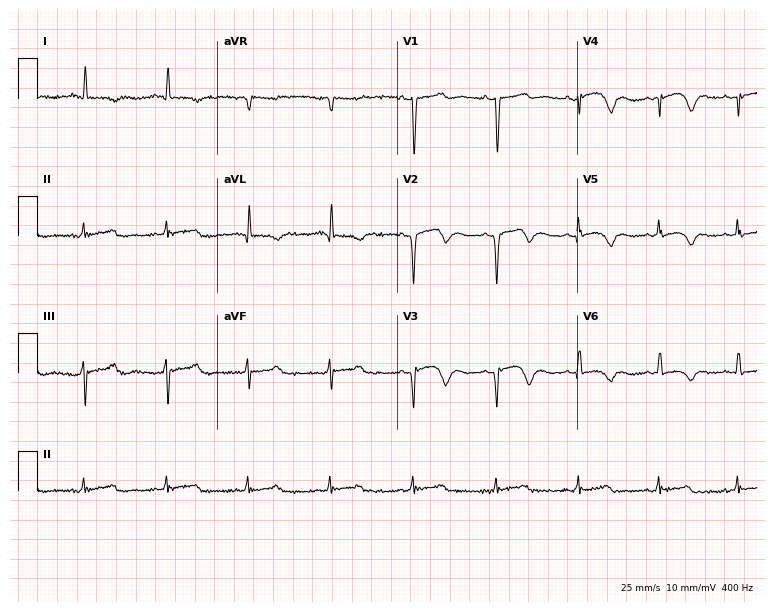
Standard 12-lead ECG recorded from a 79-year-old female (7.3-second recording at 400 Hz). None of these six findings is recorded: first-degree AV block, right bundle branch block, left bundle branch block, sinus bradycardia, atrial fibrillation, sinus tachycardia.